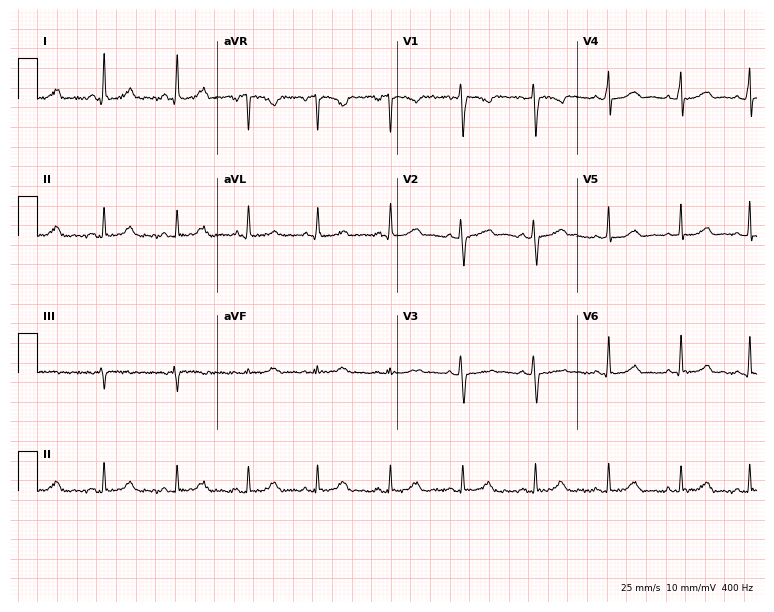
Standard 12-lead ECG recorded from a woman, 27 years old (7.3-second recording at 400 Hz). Read as a normal ECG.